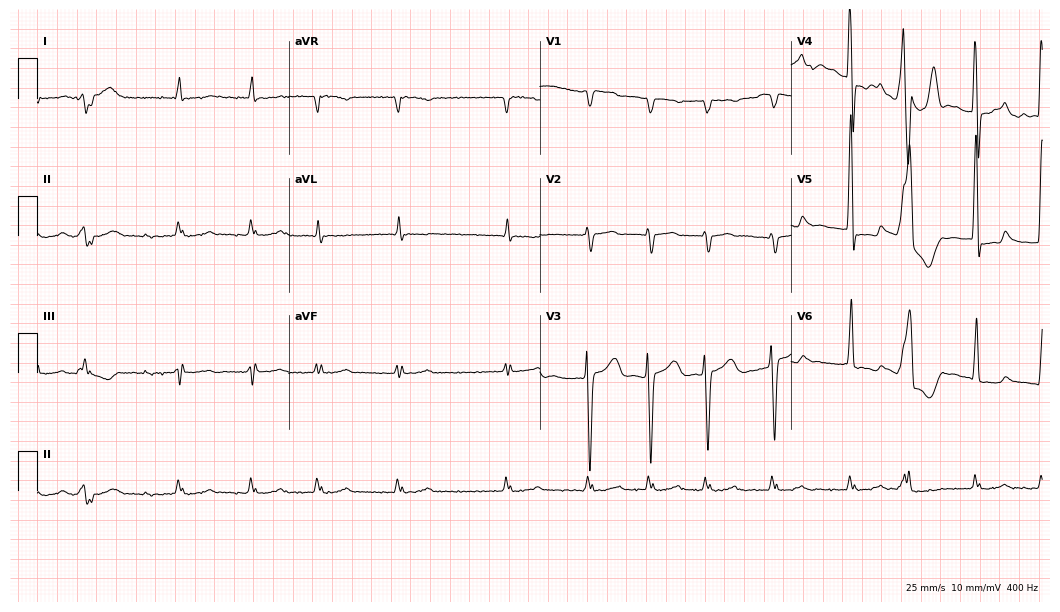
Resting 12-lead electrocardiogram. Patient: an 81-year-old man. The tracing shows atrial fibrillation.